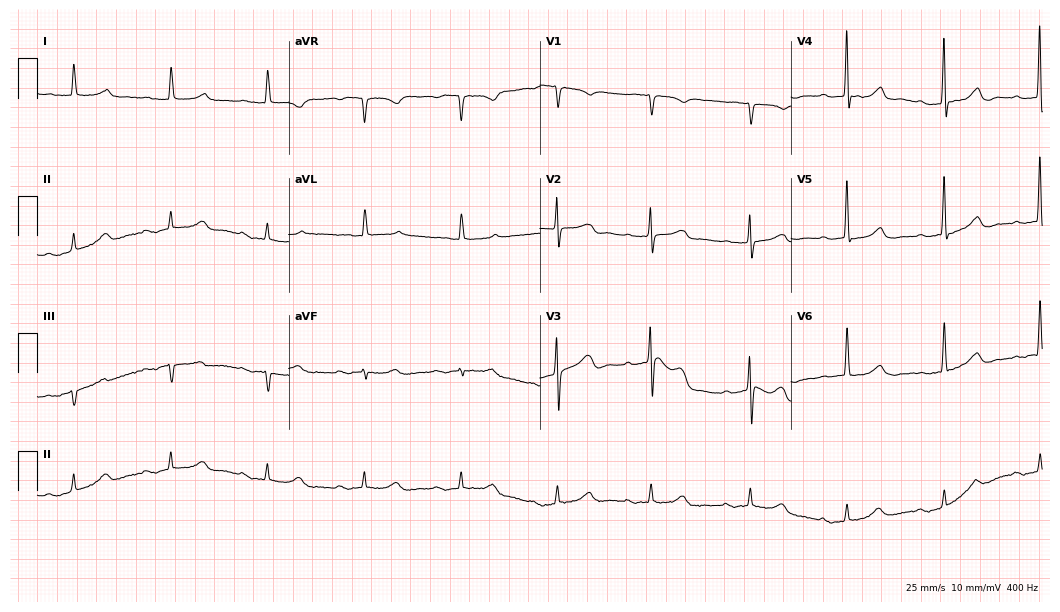
12-lead ECG (10.2-second recording at 400 Hz) from a female, 77 years old. Labelled as a normal ECG.